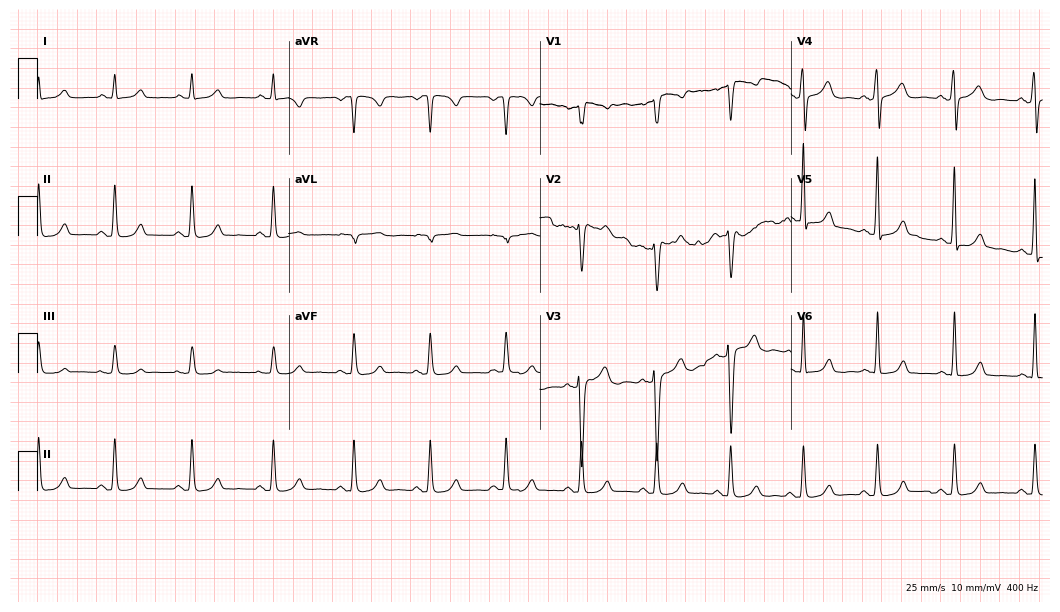
Standard 12-lead ECG recorded from a 38-year-old male patient (10.2-second recording at 400 Hz). Read as a normal ECG.